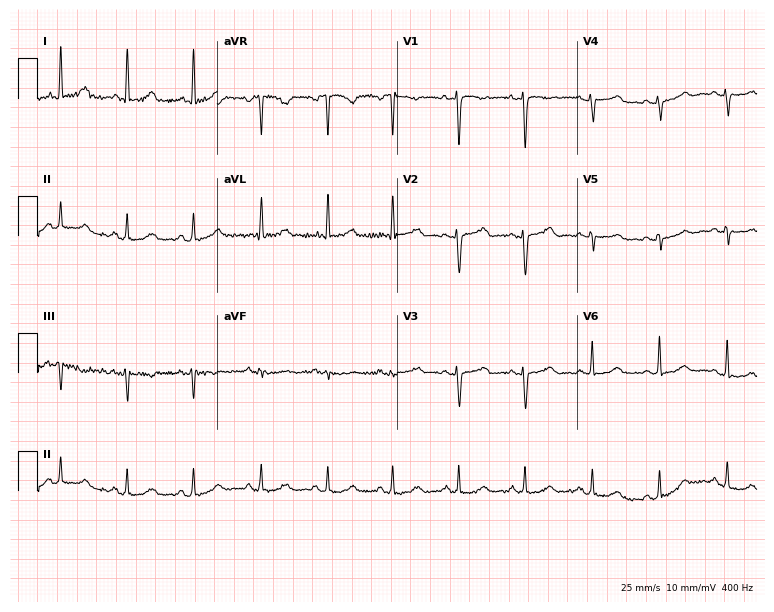
ECG — a 52-year-old female patient. Labelled as a normal ECG.